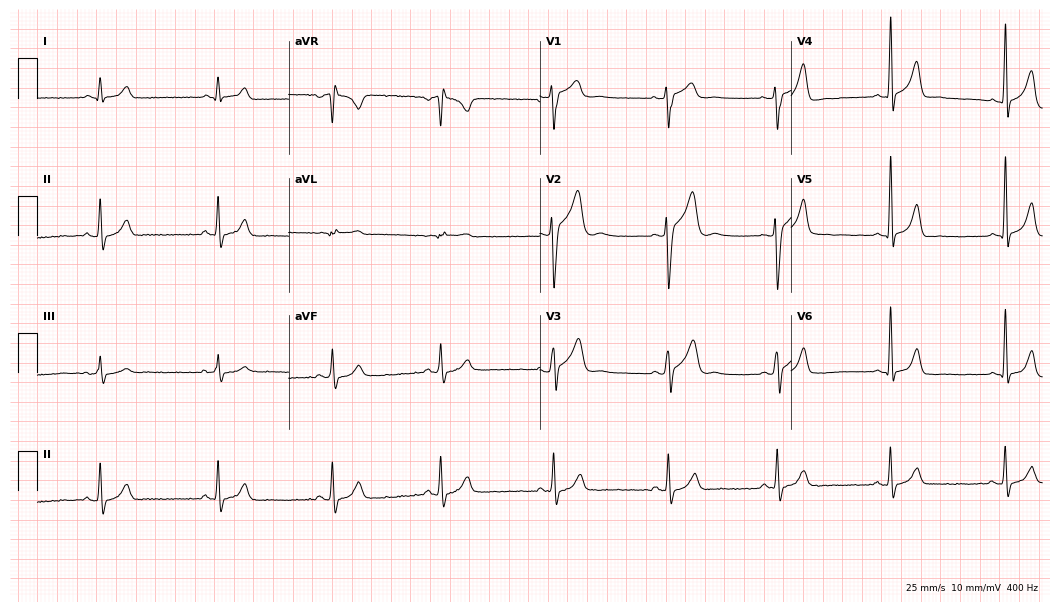
Electrocardiogram (10.2-second recording at 400 Hz), a 28-year-old male. Overall reading on record: normal ECG.